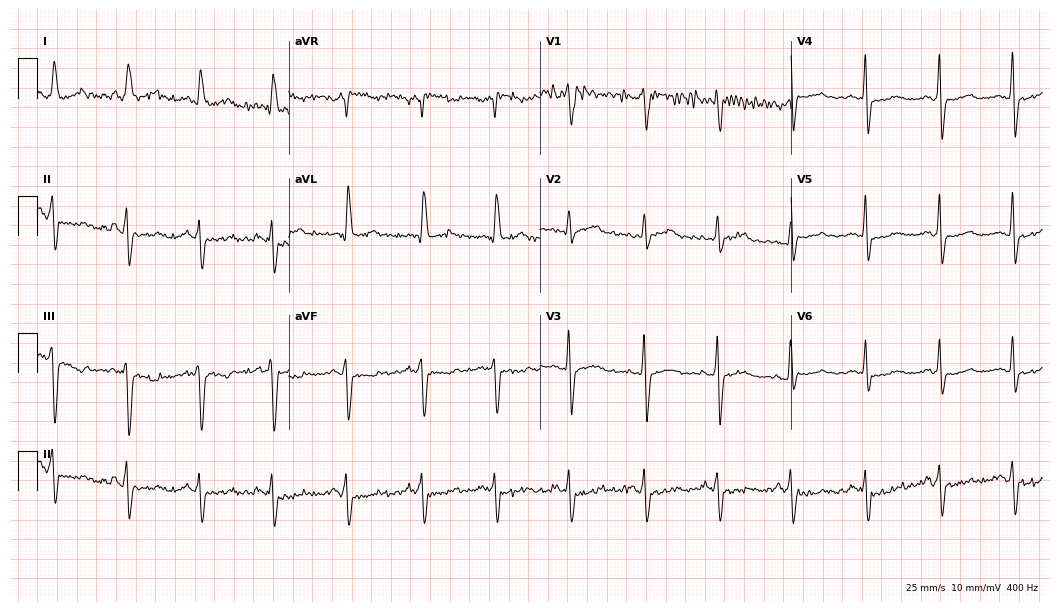
12-lead ECG from a female, 51 years old. Screened for six findings — first-degree AV block, right bundle branch block, left bundle branch block, sinus bradycardia, atrial fibrillation, sinus tachycardia — none is recorded.